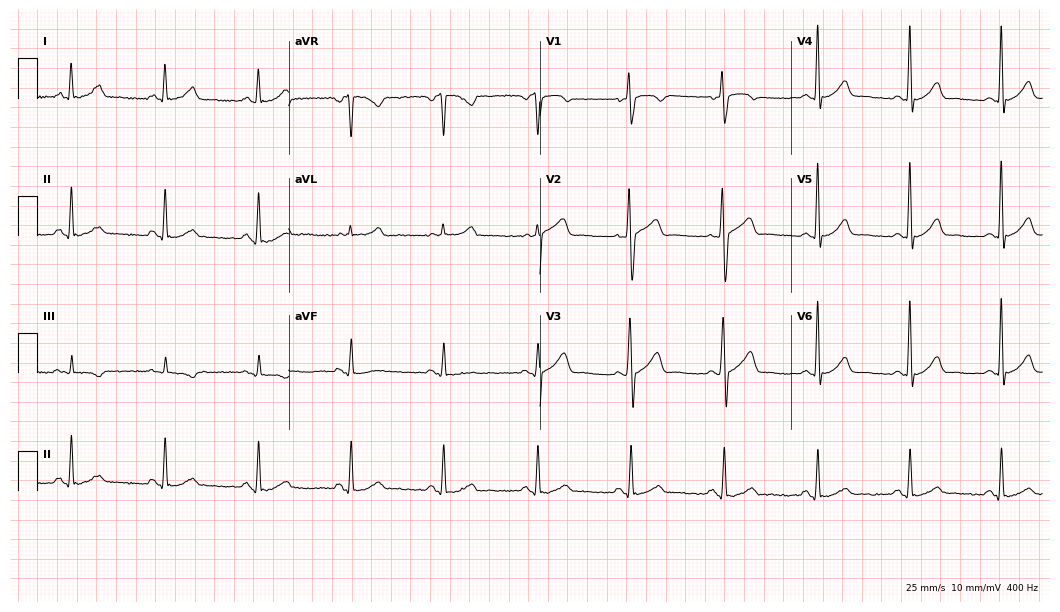
Standard 12-lead ECG recorded from a 59-year-old man (10.2-second recording at 400 Hz). Read as a normal ECG.